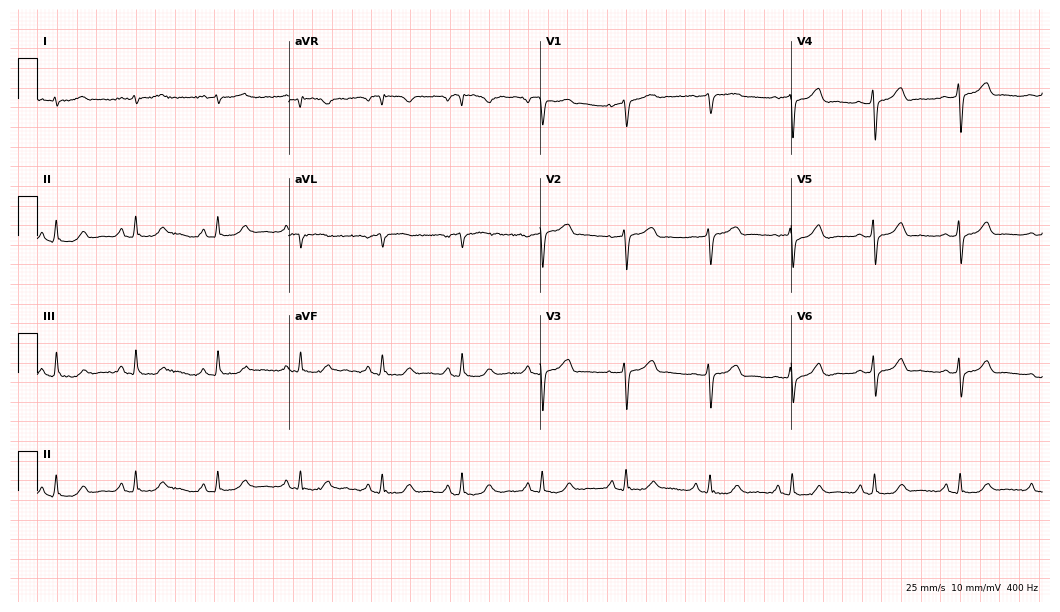
12-lead ECG (10.2-second recording at 400 Hz) from a male patient, 65 years old. Screened for six findings — first-degree AV block, right bundle branch block (RBBB), left bundle branch block (LBBB), sinus bradycardia, atrial fibrillation (AF), sinus tachycardia — none is recorded.